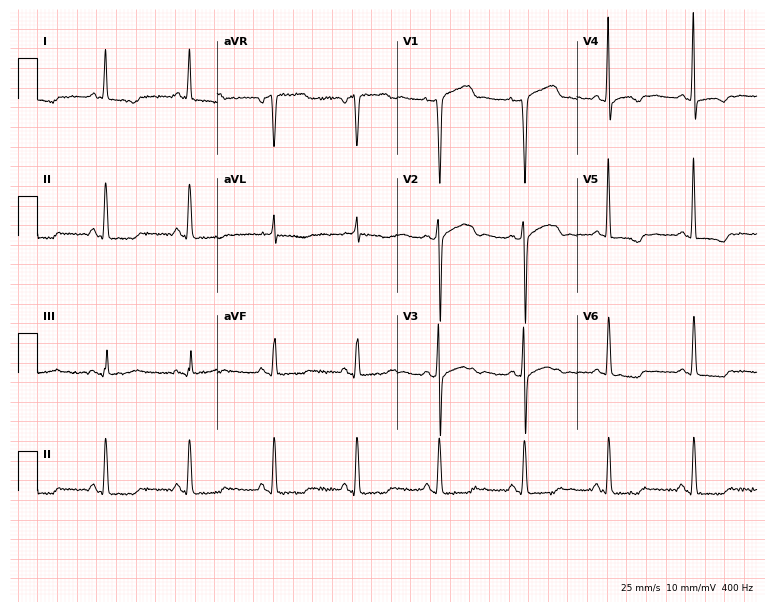
ECG (7.3-second recording at 400 Hz) — a 74-year-old female patient. Screened for six findings — first-degree AV block, right bundle branch block (RBBB), left bundle branch block (LBBB), sinus bradycardia, atrial fibrillation (AF), sinus tachycardia — none is recorded.